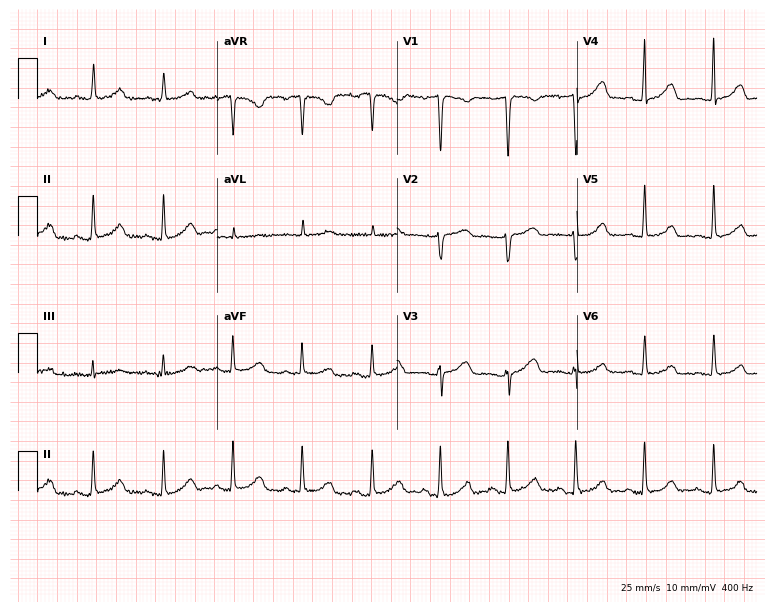
Electrocardiogram, a 50-year-old woman. Overall reading on record: normal ECG.